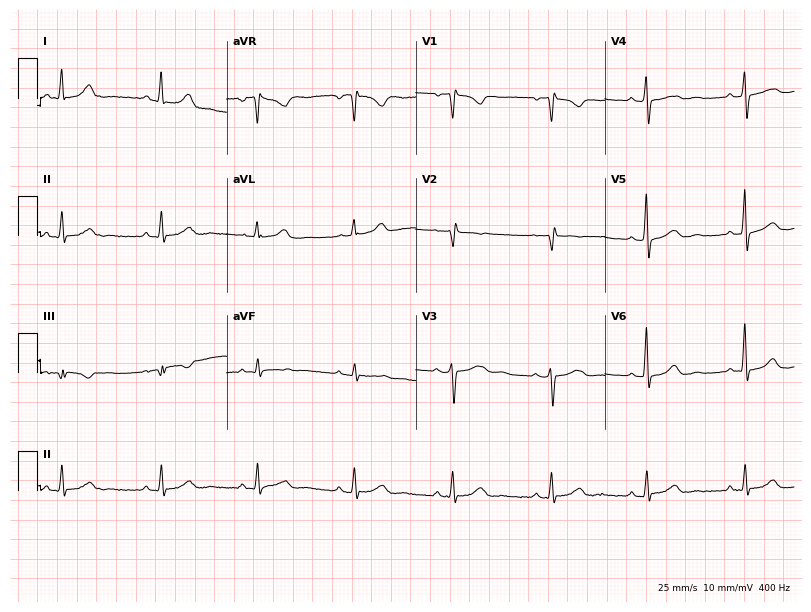
Resting 12-lead electrocardiogram. Patient: a 38-year-old woman. Read as a normal ECG.